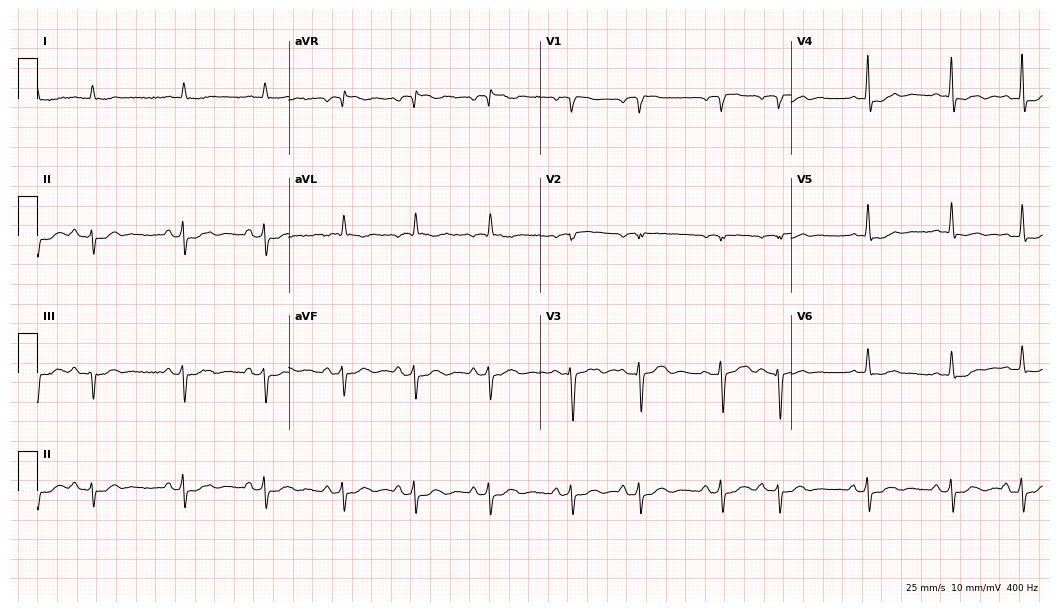
12-lead ECG from an 81-year-old female. Screened for six findings — first-degree AV block, right bundle branch block, left bundle branch block, sinus bradycardia, atrial fibrillation, sinus tachycardia — none is recorded.